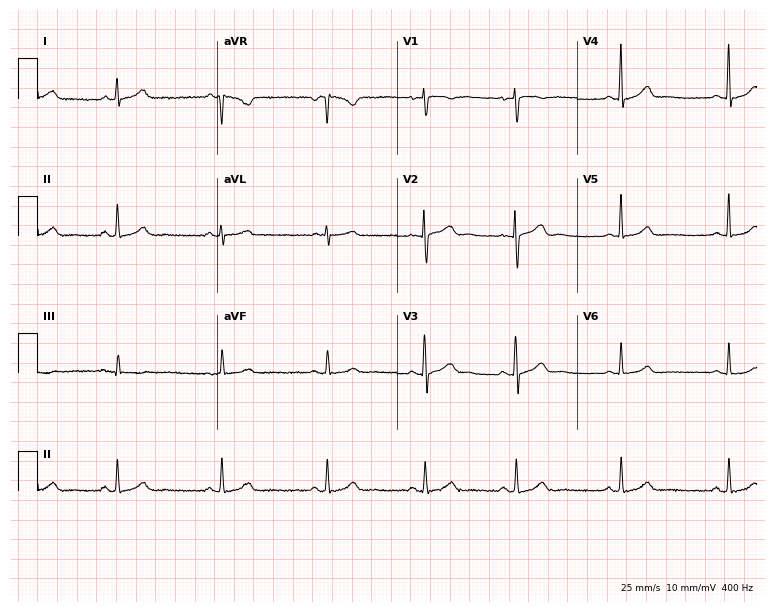
Resting 12-lead electrocardiogram. Patient: a woman, 36 years old. None of these six findings is recorded: first-degree AV block, right bundle branch block, left bundle branch block, sinus bradycardia, atrial fibrillation, sinus tachycardia. Only these six findings were labelled.